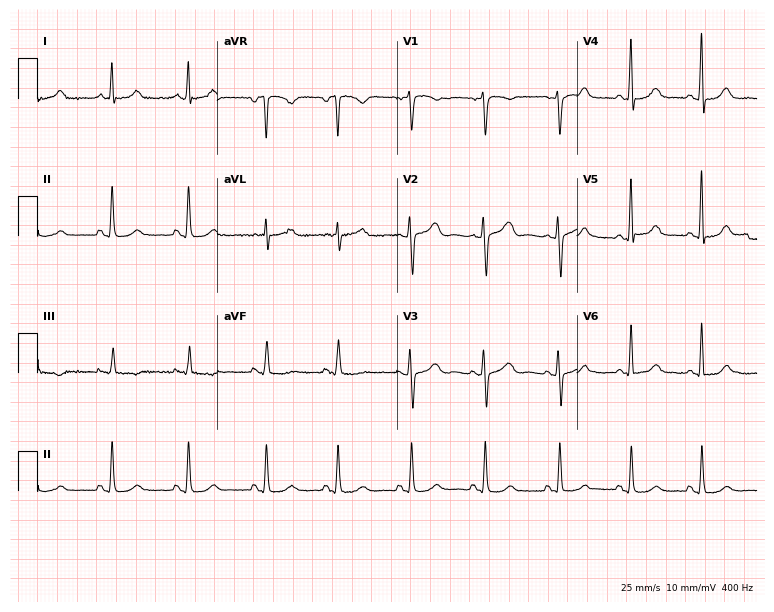
Electrocardiogram (7.3-second recording at 400 Hz), a woman, 47 years old. Overall reading on record: normal ECG.